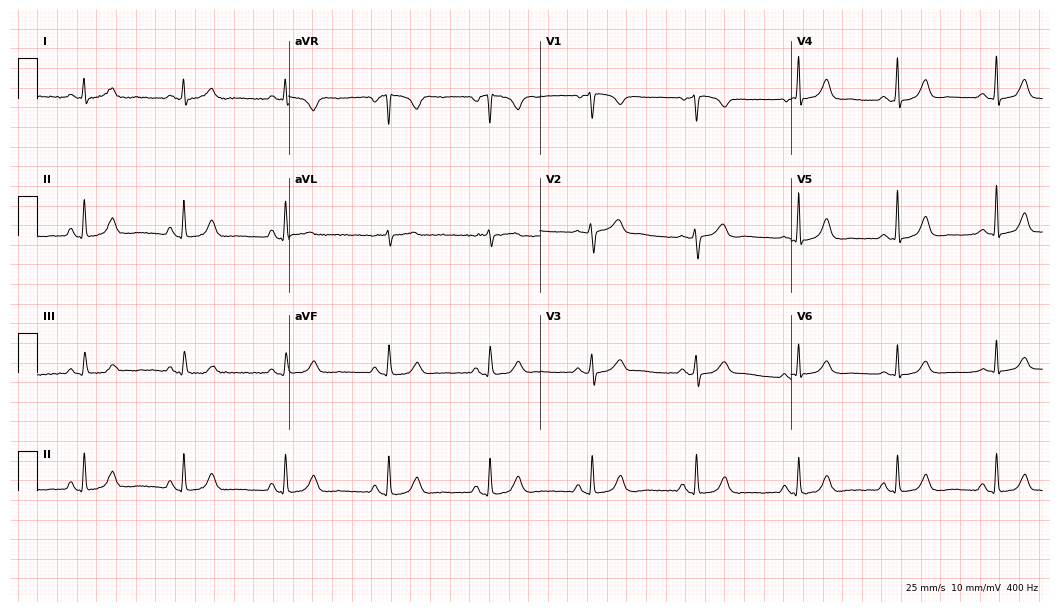
12-lead ECG (10.2-second recording at 400 Hz) from a female patient, 52 years old. Labelled as a normal ECG.